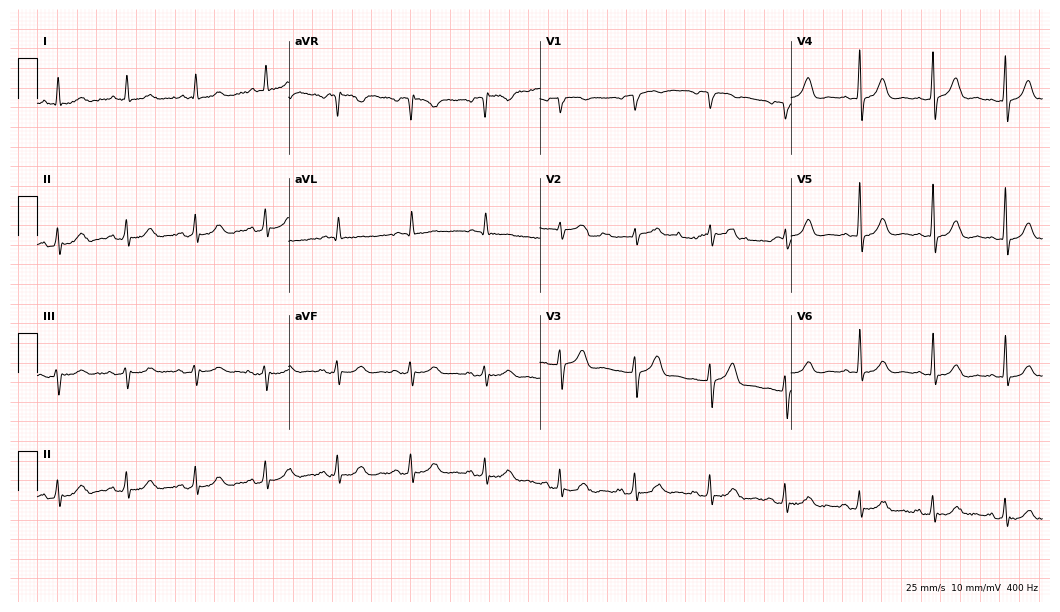
Electrocardiogram (10.2-second recording at 400 Hz), a male, 78 years old. Overall reading on record: normal ECG.